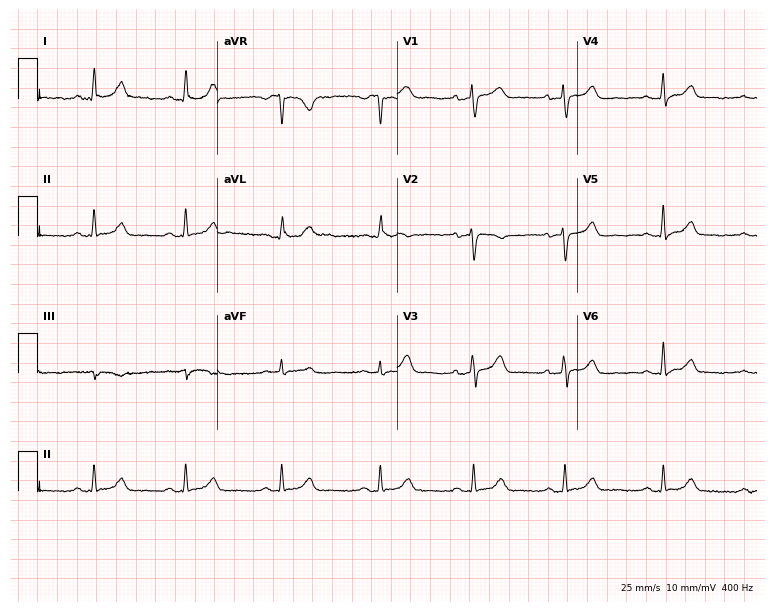
12-lead ECG from a 55-year-old female patient. Labelled as a normal ECG.